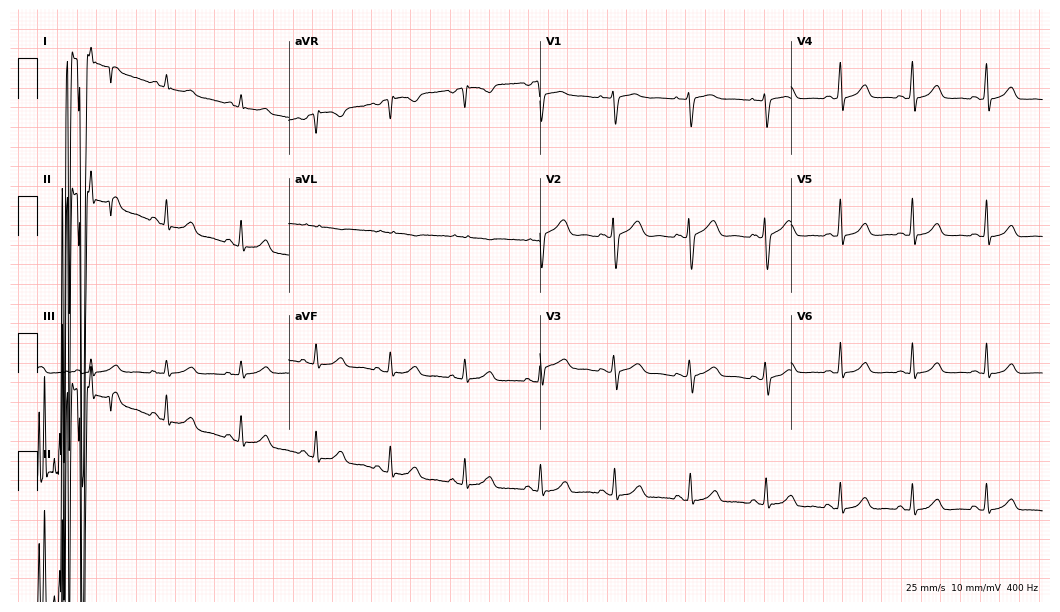
Resting 12-lead electrocardiogram. Patient: a woman, 43 years old. None of these six findings is recorded: first-degree AV block, right bundle branch block (RBBB), left bundle branch block (LBBB), sinus bradycardia, atrial fibrillation (AF), sinus tachycardia.